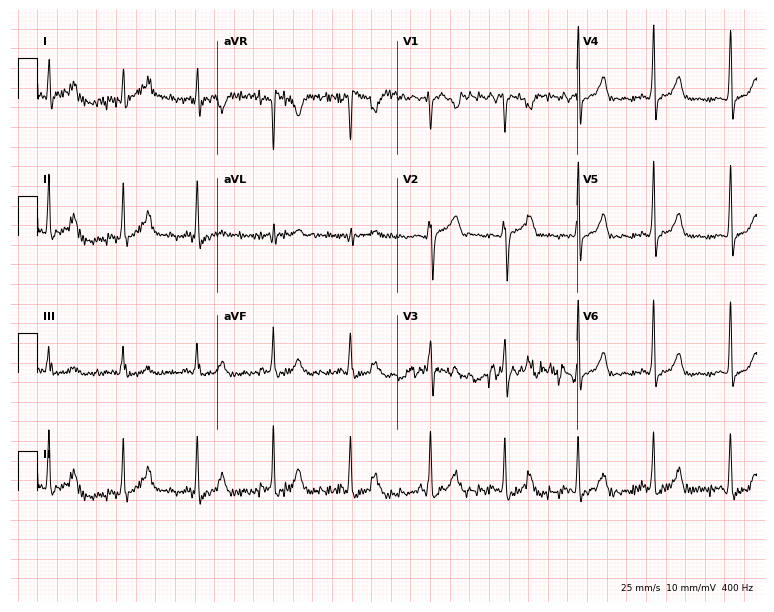
12-lead ECG from a 33-year-old female patient. No first-degree AV block, right bundle branch block (RBBB), left bundle branch block (LBBB), sinus bradycardia, atrial fibrillation (AF) or sinus tachycardia recorded for this tracing. Only these six findings were labelled.